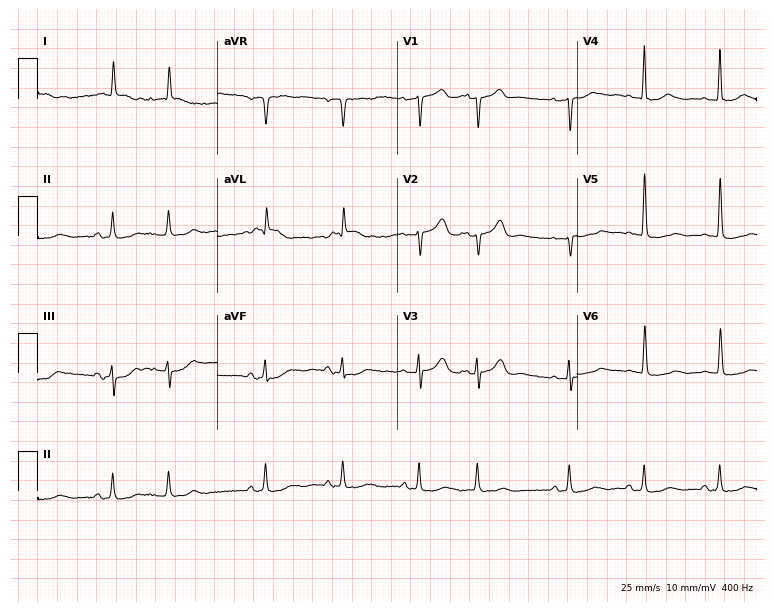
12-lead ECG from a male patient, 79 years old. No first-degree AV block, right bundle branch block, left bundle branch block, sinus bradycardia, atrial fibrillation or sinus tachycardia recorded for this tracing. Only these six findings were labelled.